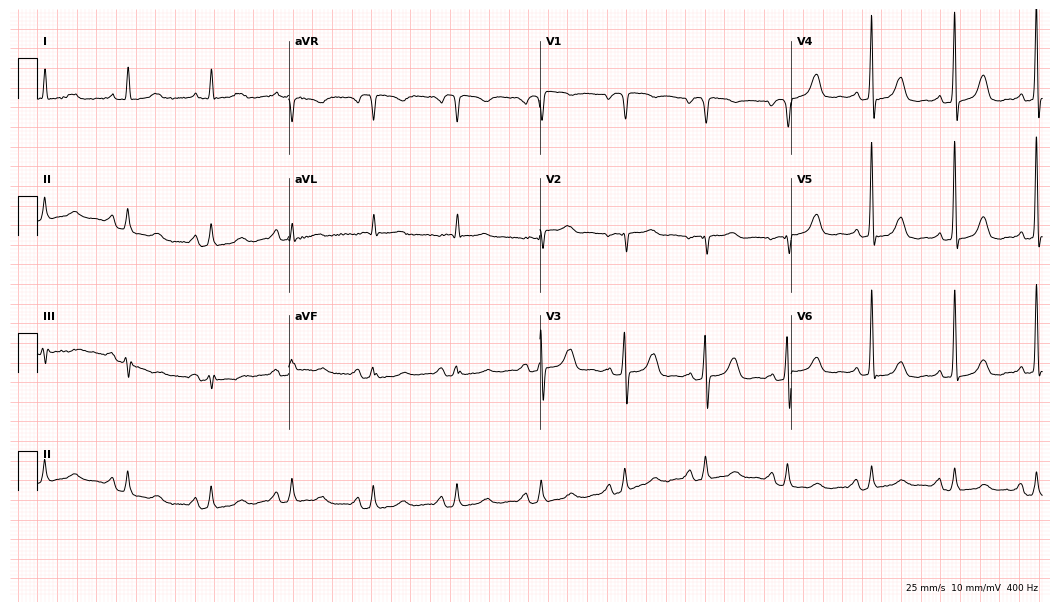
12-lead ECG from a woman, 77 years old. Labelled as a normal ECG.